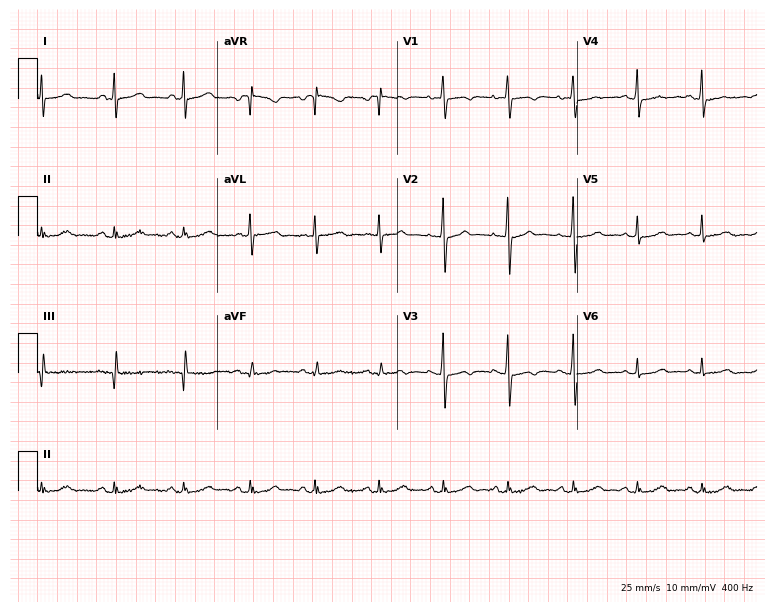
12-lead ECG (7.3-second recording at 400 Hz) from a 47-year-old female patient. Screened for six findings — first-degree AV block, right bundle branch block, left bundle branch block, sinus bradycardia, atrial fibrillation, sinus tachycardia — none is recorded.